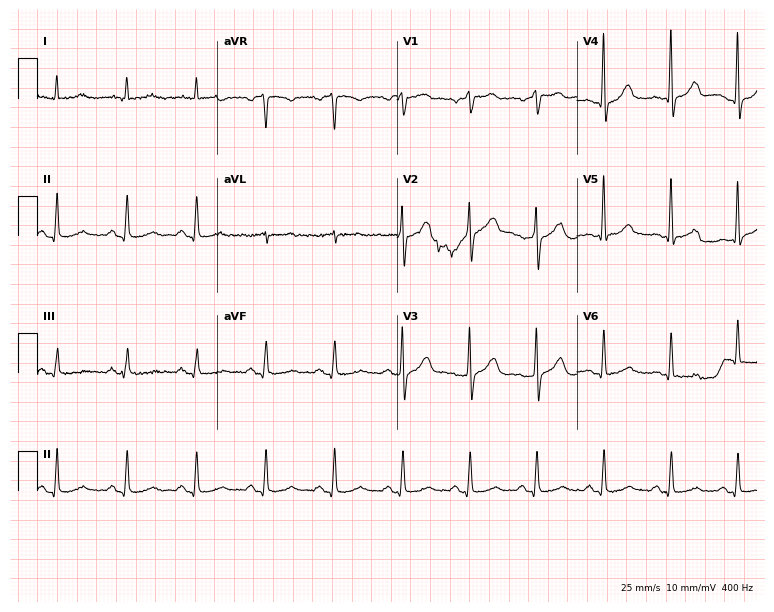
12-lead ECG from a 60-year-old male. Recorded interpretation: within normal limits.